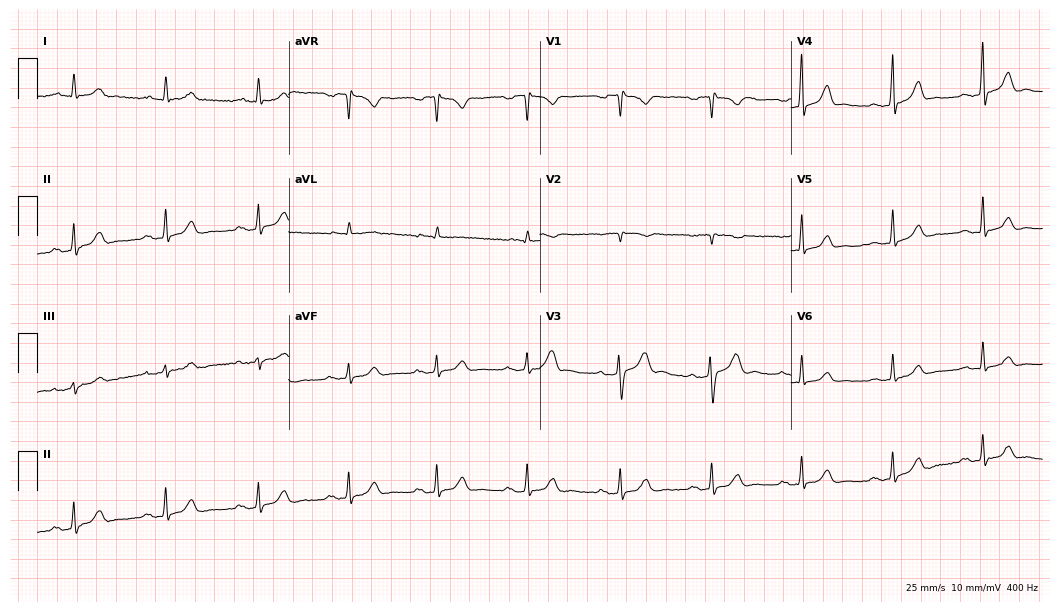
12-lead ECG from a 52-year-old man. Recorded interpretation: within normal limits.